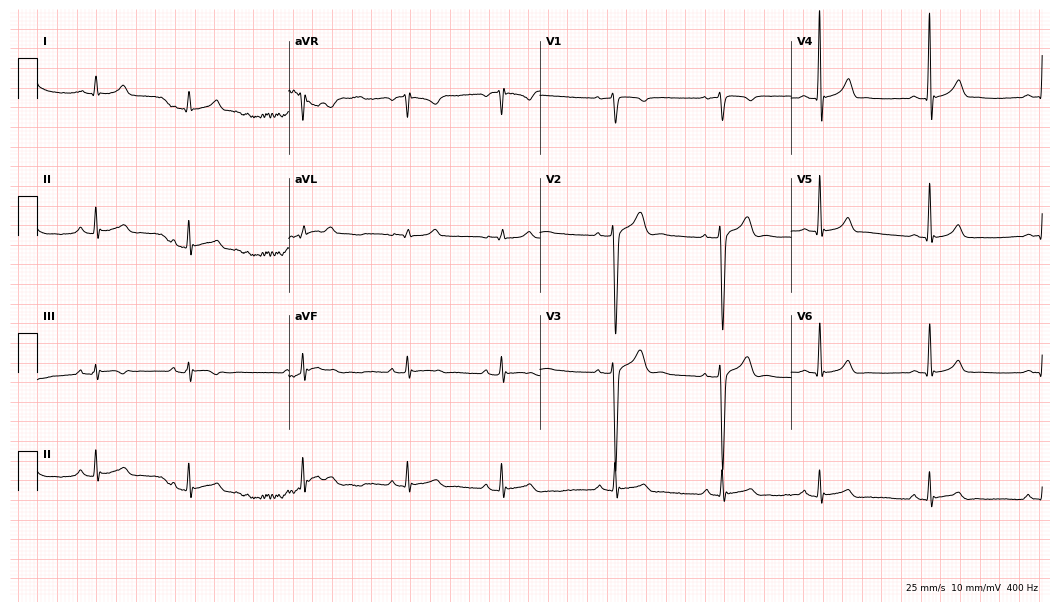
Standard 12-lead ECG recorded from a 19-year-old male patient (10.2-second recording at 400 Hz). Read as a normal ECG.